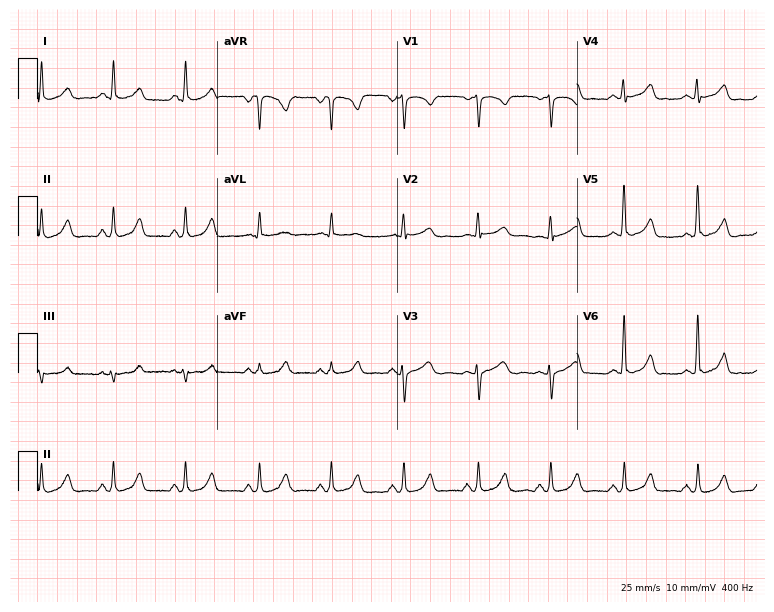
ECG (7.3-second recording at 400 Hz) — a 34-year-old woman. Labelled as a normal ECG.